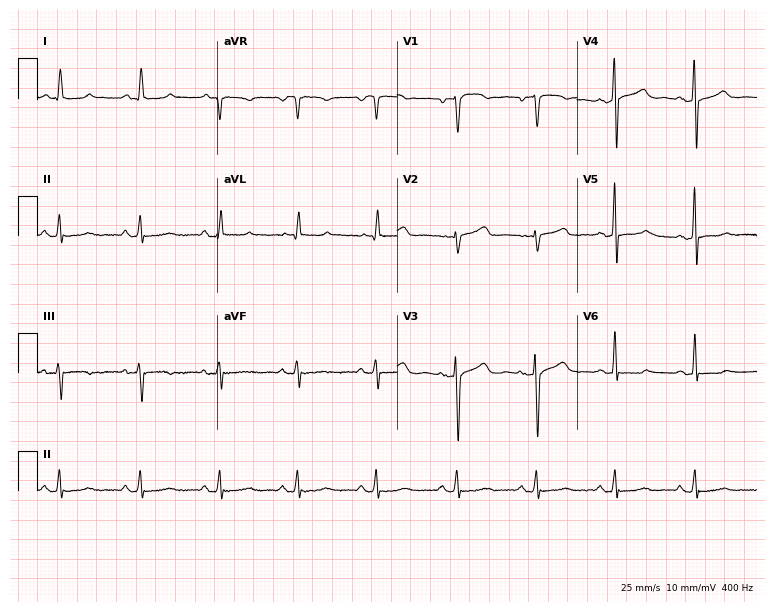
Resting 12-lead electrocardiogram (7.3-second recording at 400 Hz). Patient: a 48-year-old female. Read as a normal ECG.